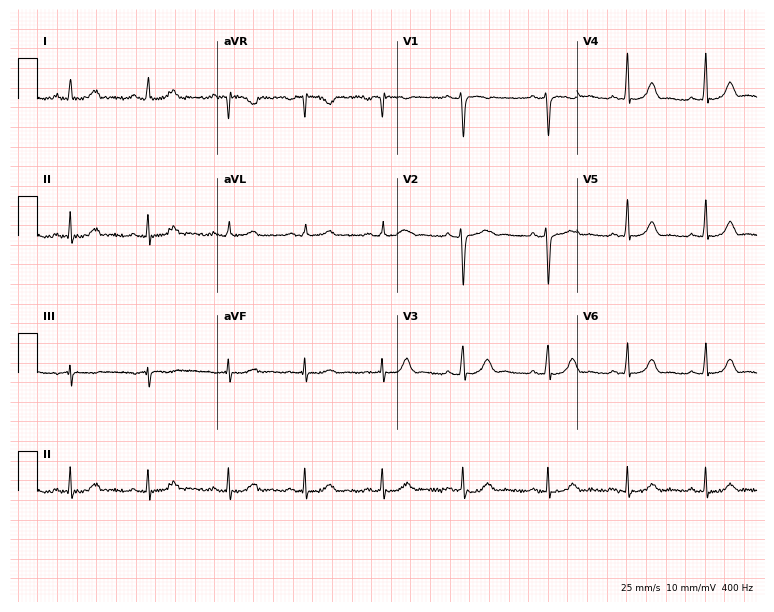
12-lead ECG from a 26-year-old woman (7.3-second recording at 400 Hz). Recorded interpretation: within normal limits.